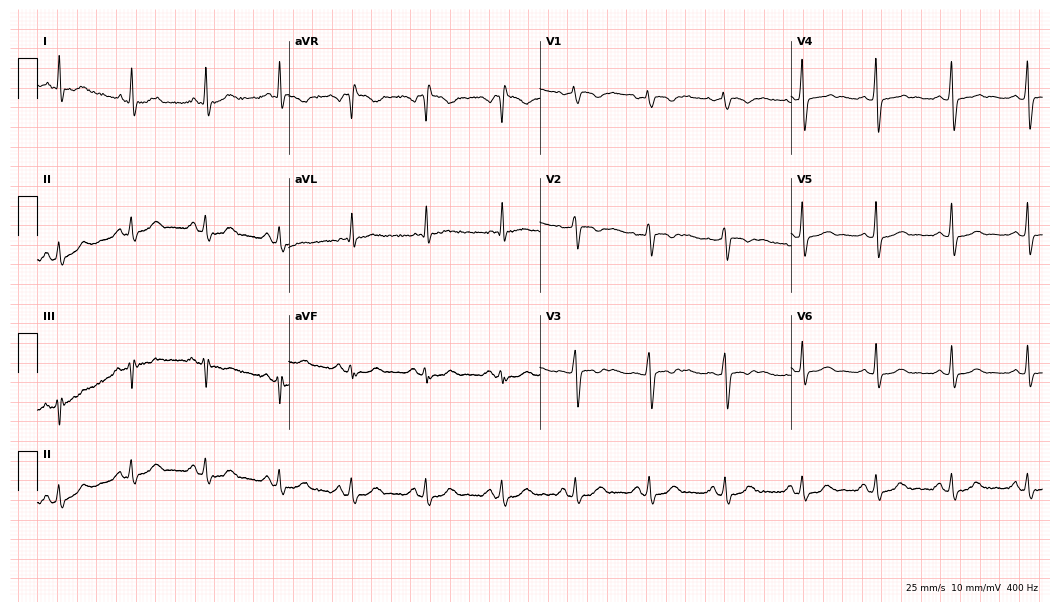
Electrocardiogram (10.2-second recording at 400 Hz), a female, 36 years old. Overall reading on record: normal ECG.